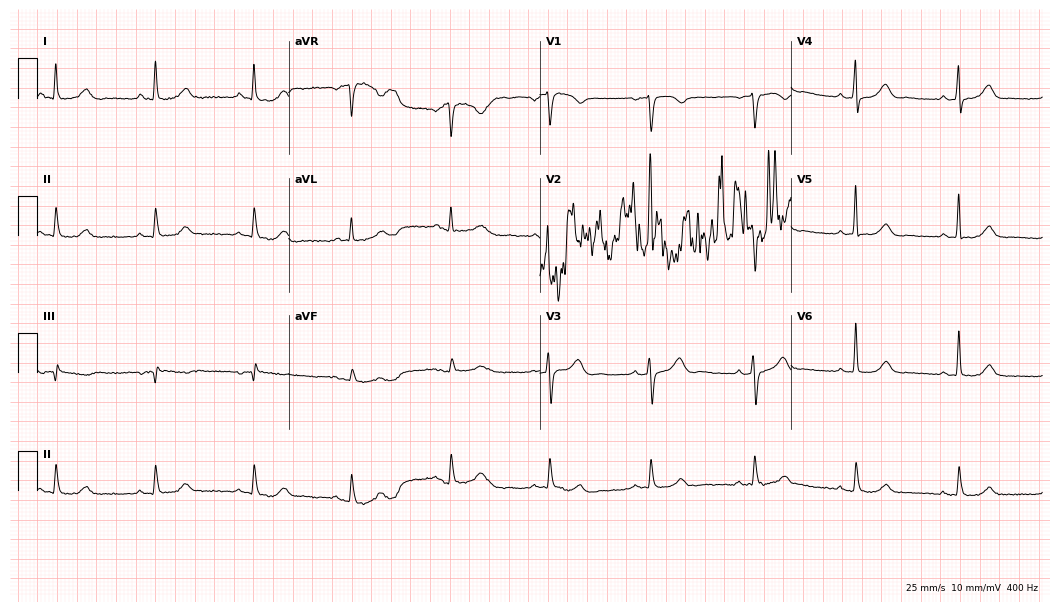
Electrocardiogram (10.2-second recording at 400 Hz), a 74-year-old male patient. Overall reading on record: normal ECG.